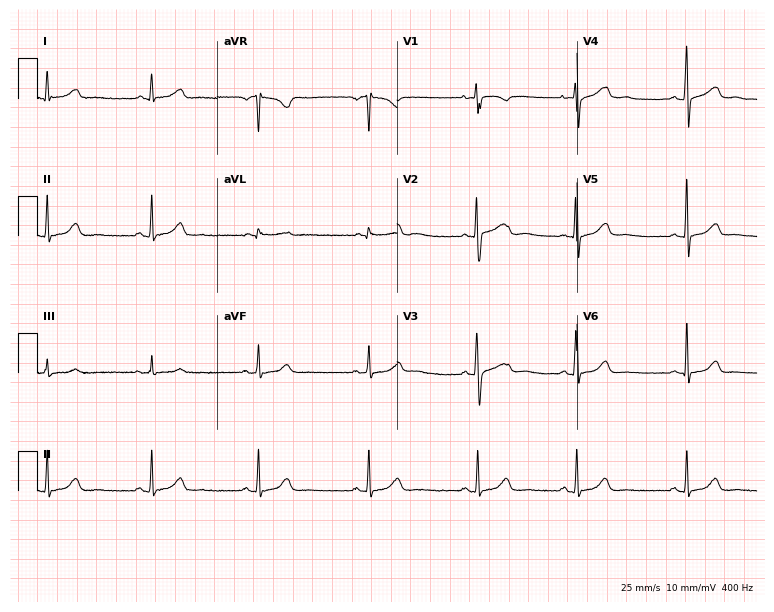
12-lead ECG from a female, 29 years old. Labelled as a normal ECG.